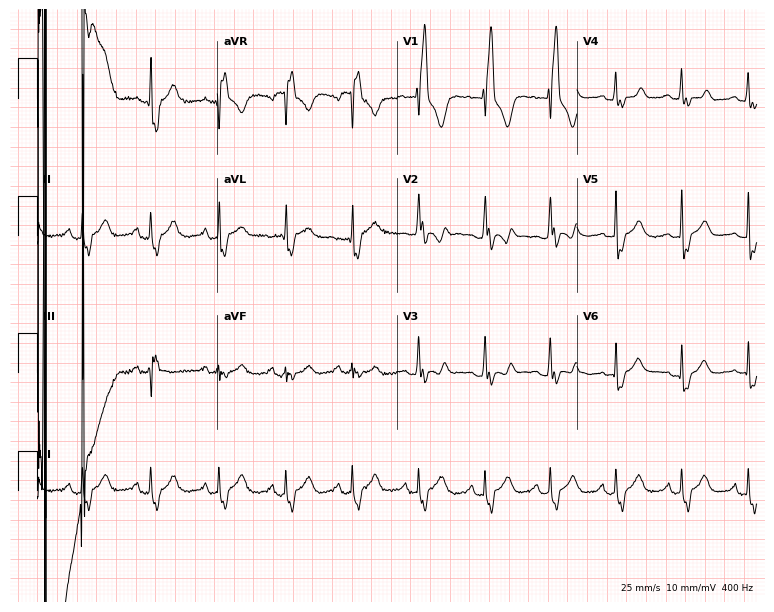
12-lead ECG from a 22-year-old male patient. Findings include right bundle branch block (RBBB).